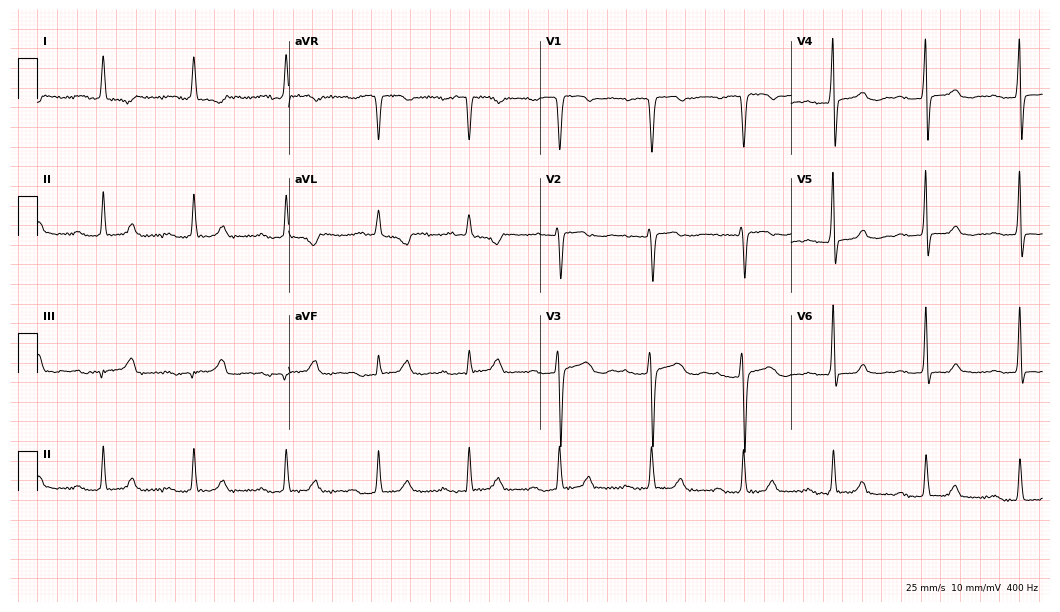
12-lead ECG from a female patient, 55 years old. No first-degree AV block, right bundle branch block (RBBB), left bundle branch block (LBBB), sinus bradycardia, atrial fibrillation (AF) or sinus tachycardia recorded for this tracing.